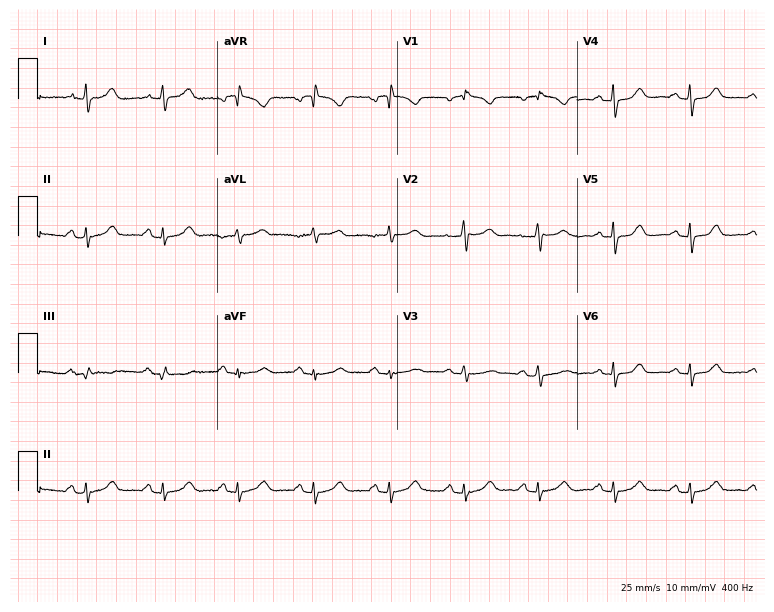
Electrocardiogram (7.3-second recording at 400 Hz), a female, 71 years old. Overall reading on record: normal ECG.